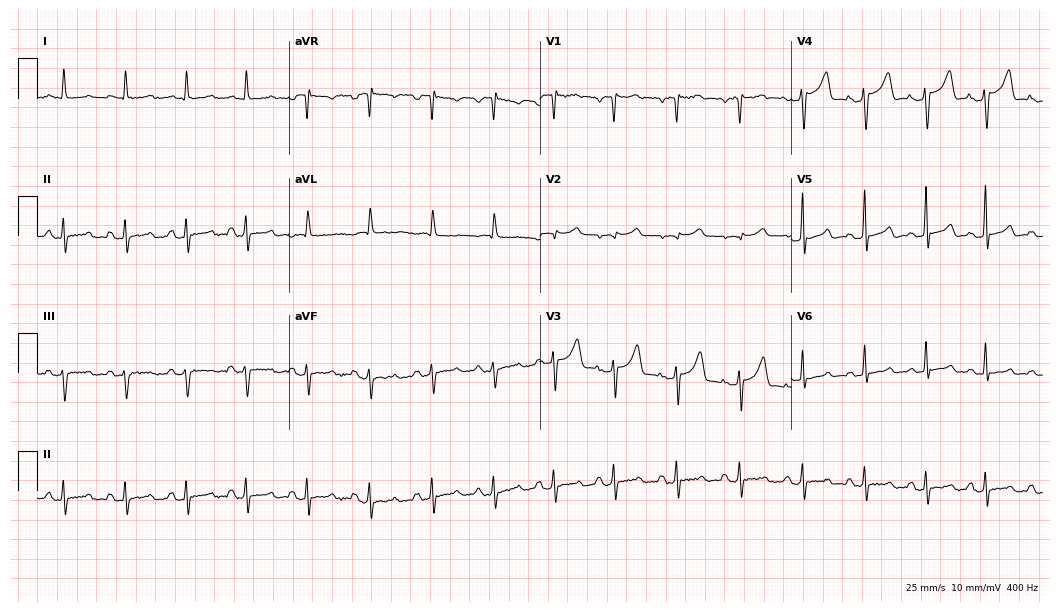
ECG — a 55-year-old female. Screened for six findings — first-degree AV block, right bundle branch block, left bundle branch block, sinus bradycardia, atrial fibrillation, sinus tachycardia — none is recorded. Other findings, if any, are not listed.